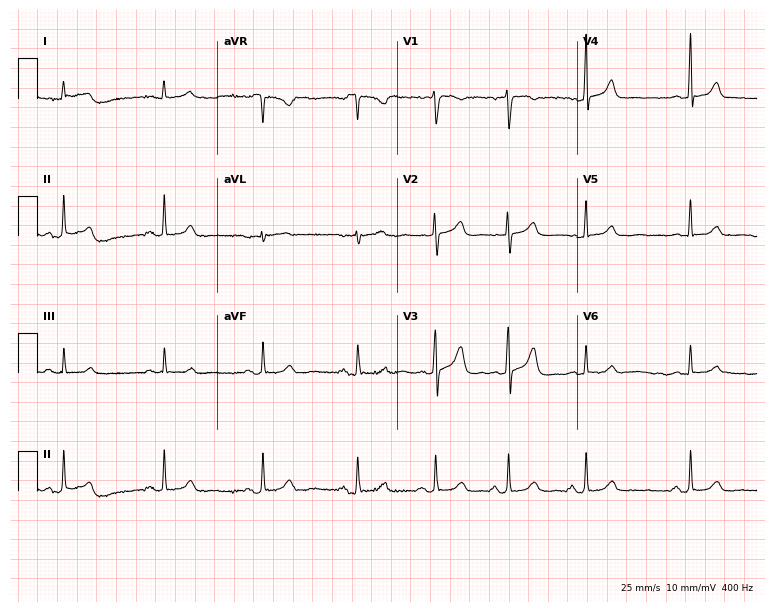
Electrocardiogram, a 31-year-old woman. Of the six screened findings (first-degree AV block, right bundle branch block (RBBB), left bundle branch block (LBBB), sinus bradycardia, atrial fibrillation (AF), sinus tachycardia), none is recorded.